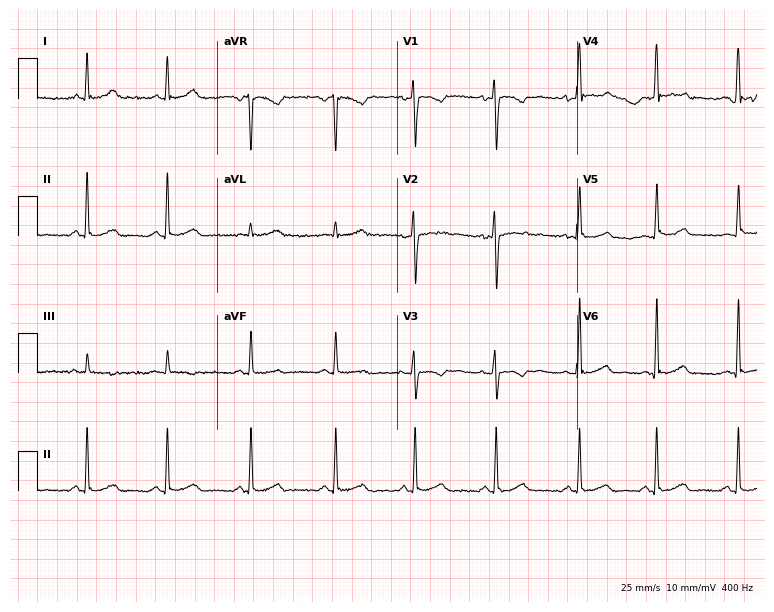
Resting 12-lead electrocardiogram. Patient: a female, 33 years old. None of these six findings is recorded: first-degree AV block, right bundle branch block (RBBB), left bundle branch block (LBBB), sinus bradycardia, atrial fibrillation (AF), sinus tachycardia.